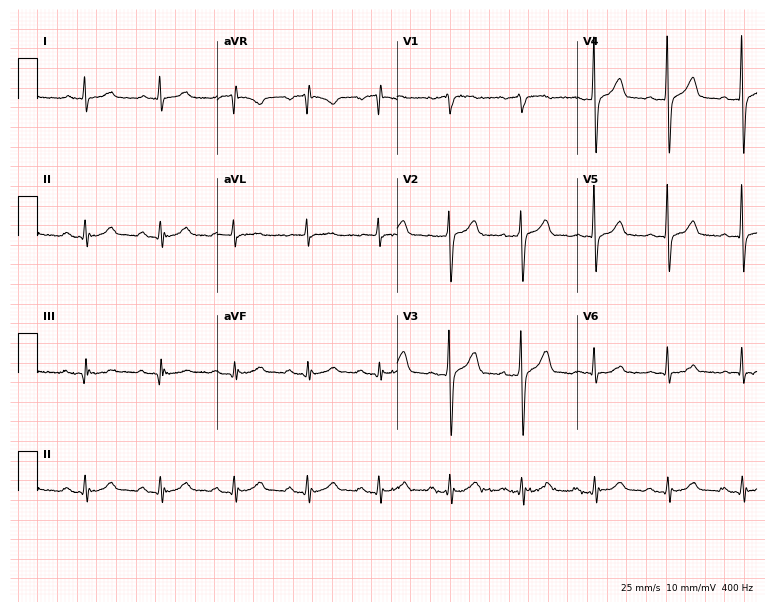
12-lead ECG from a 53-year-old male patient (7.3-second recording at 400 Hz). Recorded interpretation: within normal limits.